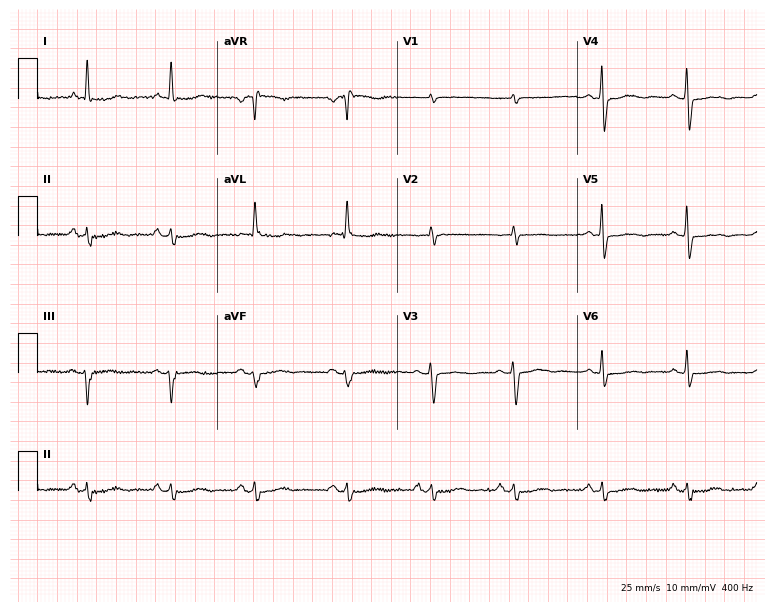
Electrocardiogram, an 85-year-old woman. Of the six screened findings (first-degree AV block, right bundle branch block (RBBB), left bundle branch block (LBBB), sinus bradycardia, atrial fibrillation (AF), sinus tachycardia), none is recorded. Other findings, if any, are not listed.